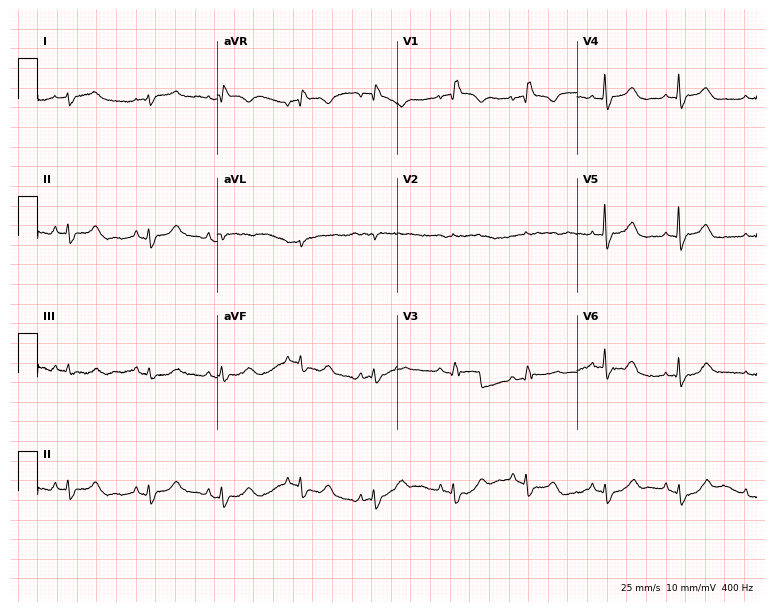
12-lead ECG from a female patient, 54 years old (7.3-second recording at 400 Hz). No first-degree AV block, right bundle branch block (RBBB), left bundle branch block (LBBB), sinus bradycardia, atrial fibrillation (AF) or sinus tachycardia recorded for this tracing. Only these six findings were labelled.